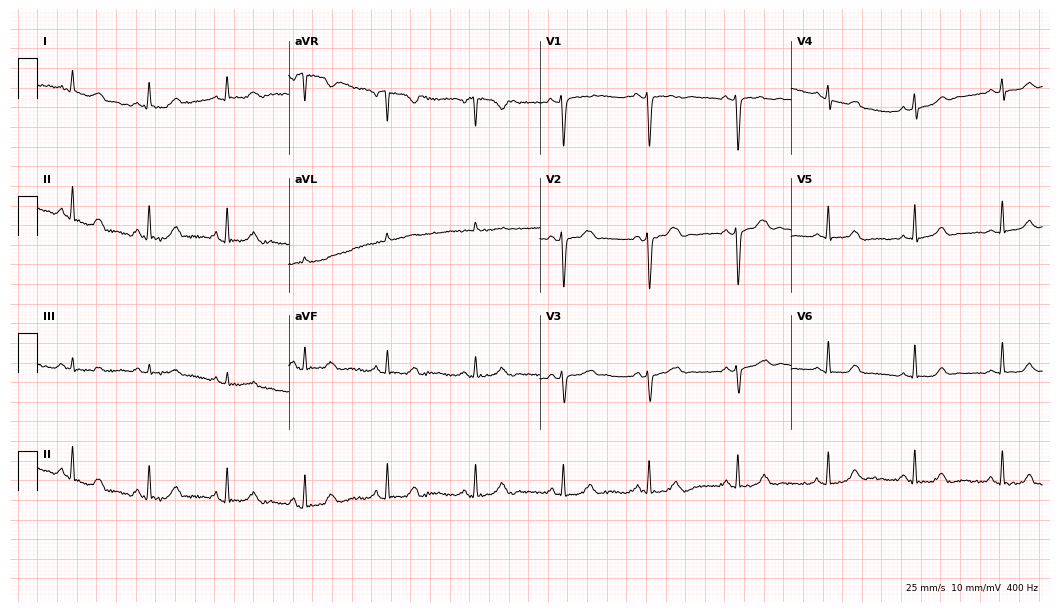
ECG — a female, 37 years old. Screened for six findings — first-degree AV block, right bundle branch block (RBBB), left bundle branch block (LBBB), sinus bradycardia, atrial fibrillation (AF), sinus tachycardia — none is recorded. Other findings, if any, are not listed.